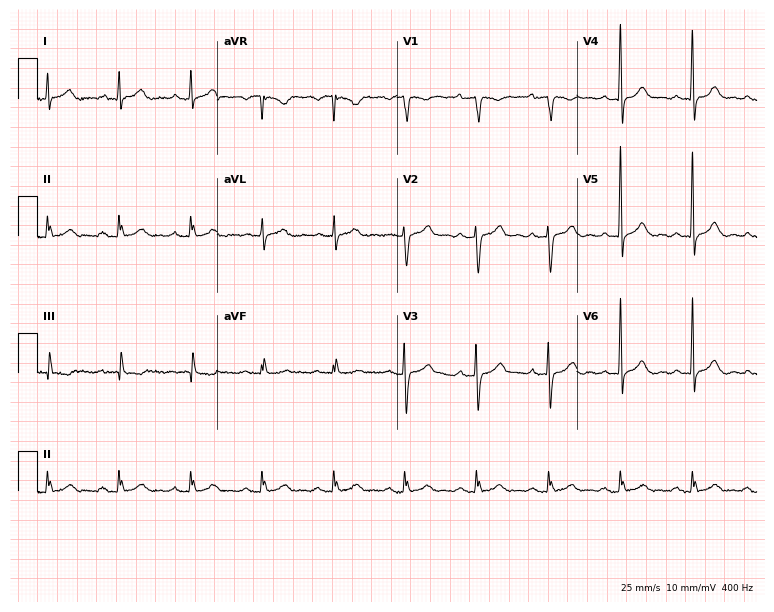
12-lead ECG from a 45-year-old man. Labelled as a normal ECG.